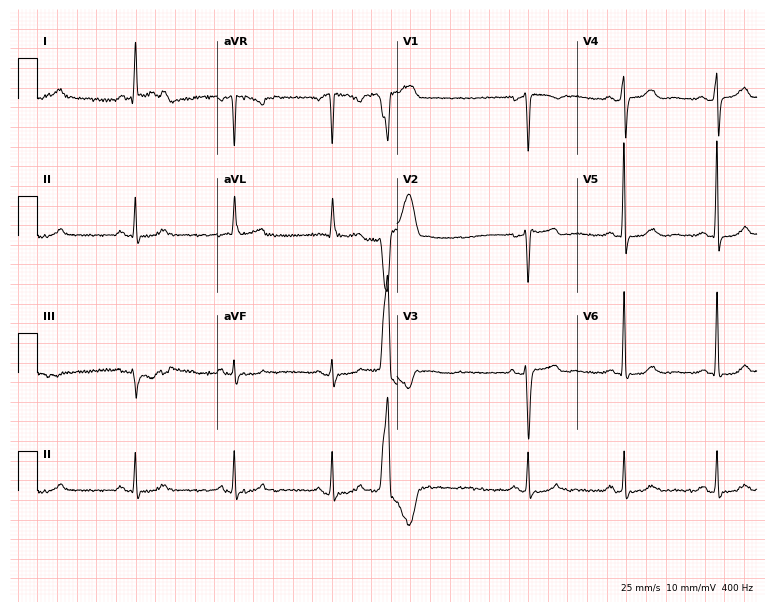
Electrocardiogram (7.3-second recording at 400 Hz), a 44-year-old female patient. Of the six screened findings (first-degree AV block, right bundle branch block, left bundle branch block, sinus bradycardia, atrial fibrillation, sinus tachycardia), none is recorded. Only these six findings were labelled.